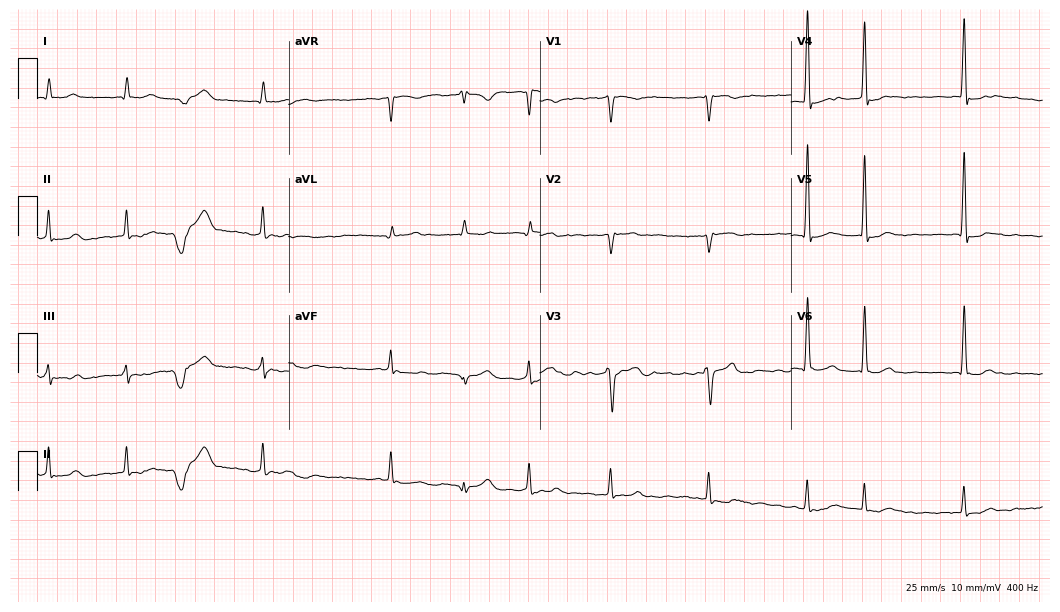
12-lead ECG from an 81-year-old man (10.2-second recording at 400 Hz). No first-degree AV block, right bundle branch block, left bundle branch block, sinus bradycardia, atrial fibrillation or sinus tachycardia recorded for this tracing.